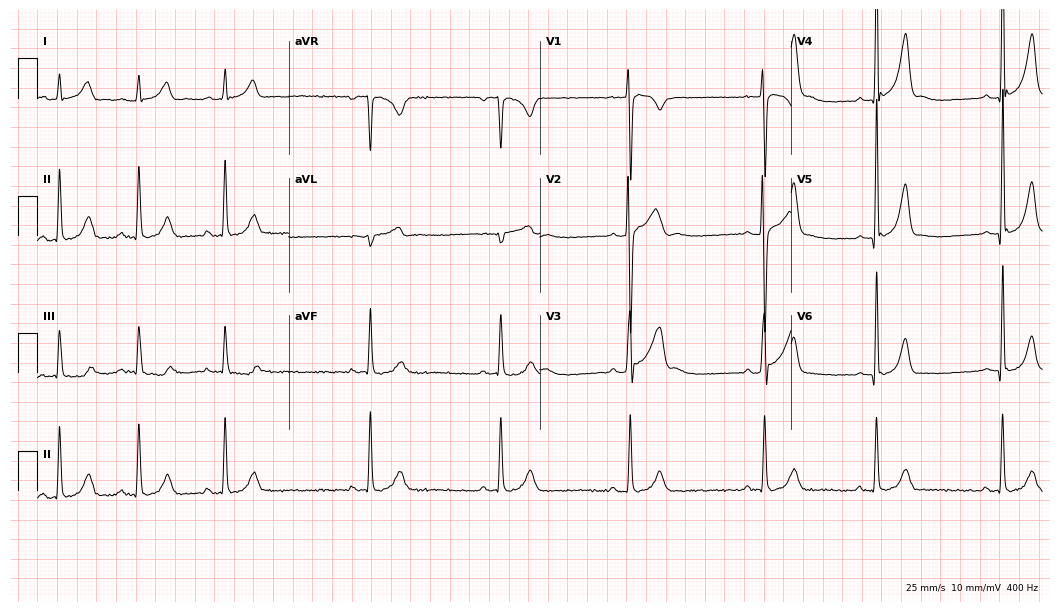
Standard 12-lead ECG recorded from a male patient, 19 years old. None of these six findings is recorded: first-degree AV block, right bundle branch block, left bundle branch block, sinus bradycardia, atrial fibrillation, sinus tachycardia. Only these six findings were labelled.